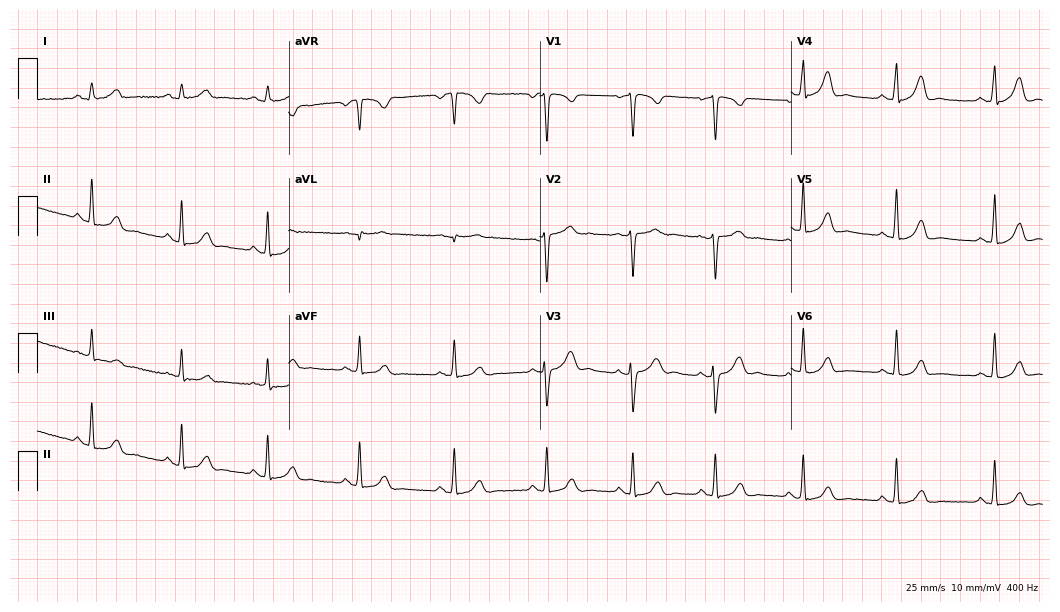
Electrocardiogram, a female patient, 25 years old. Overall reading on record: normal ECG.